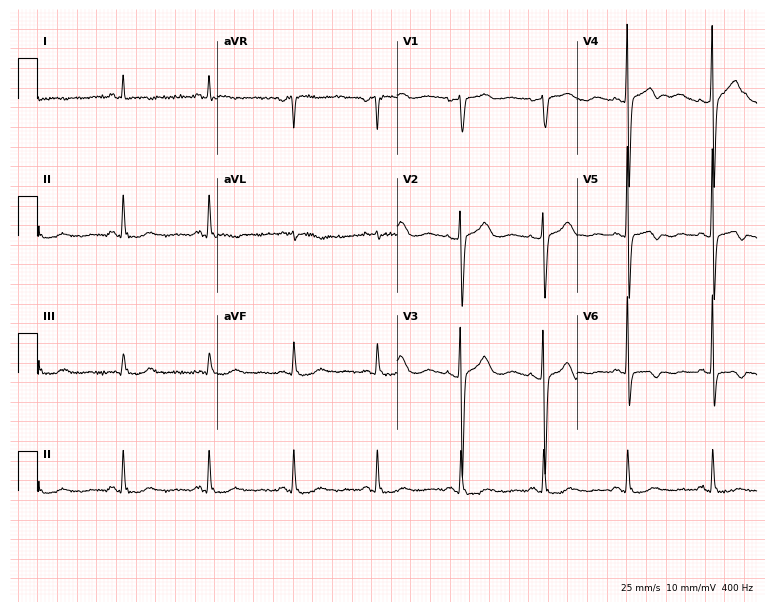
12-lead ECG from a female patient, 74 years old (7.3-second recording at 400 Hz). No first-degree AV block, right bundle branch block (RBBB), left bundle branch block (LBBB), sinus bradycardia, atrial fibrillation (AF) or sinus tachycardia recorded for this tracing. Only these six findings were labelled.